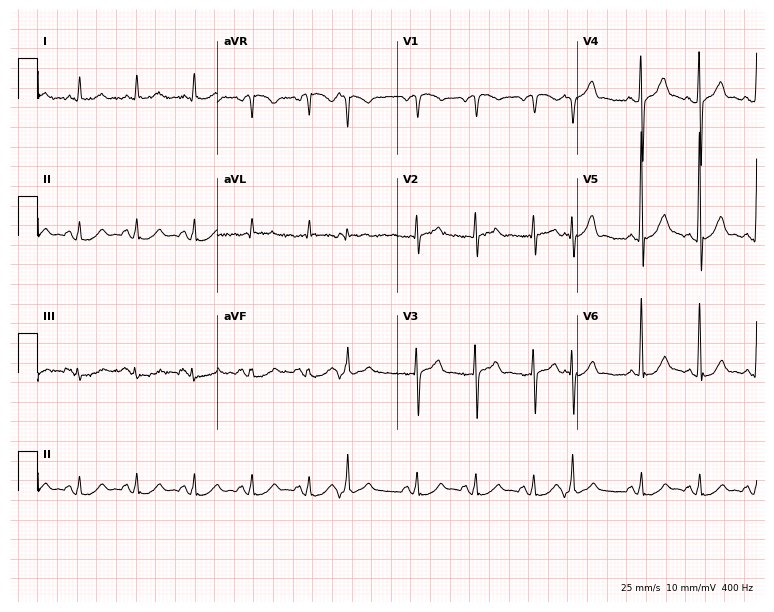
12-lead ECG from a male, 62 years old (7.3-second recording at 400 Hz). Shows sinus tachycardia (a sinus rate of 100 beats per minute or more).